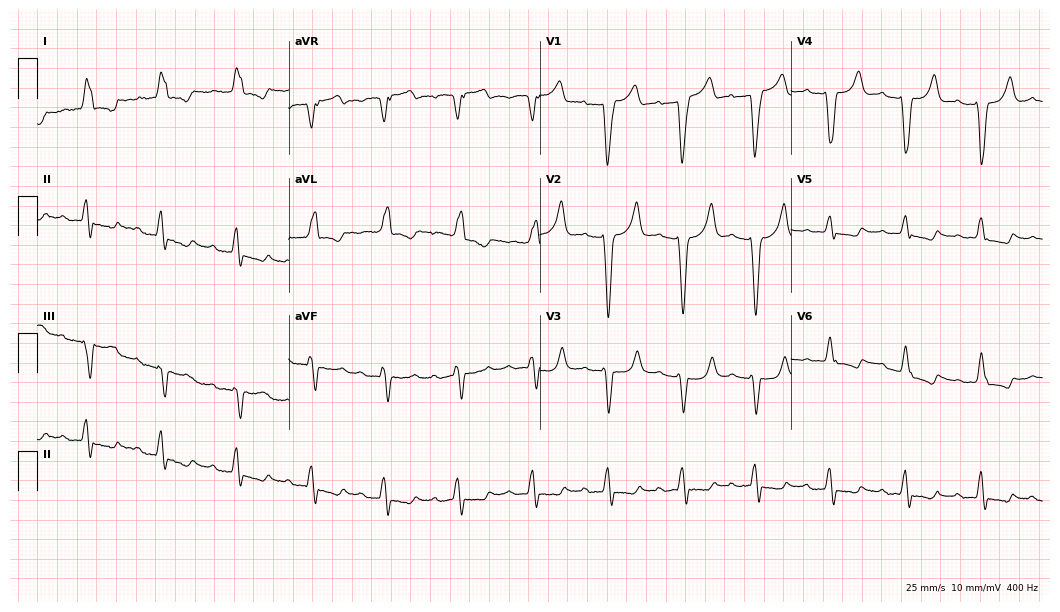
12-lead ECG (10.2-second recording at 400 Hz) from a female, 80 years old. Findings include first-degree AV block, left bundle branch block.